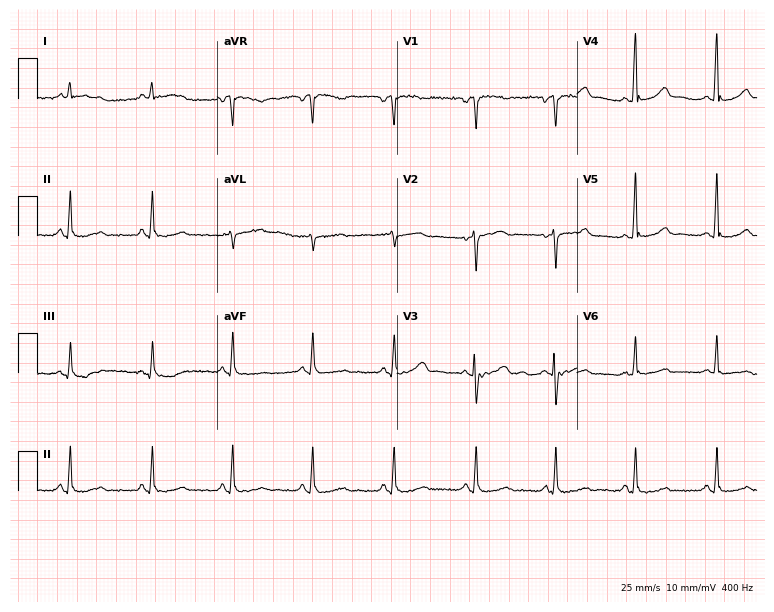
12-lead ECG from a 51-year-old woman. No first-degree AV block, right bundle branch block, left bundle branch block, sinus bradycardia, atrial fibrillation or sinus tachycardia recorded for this tracing.